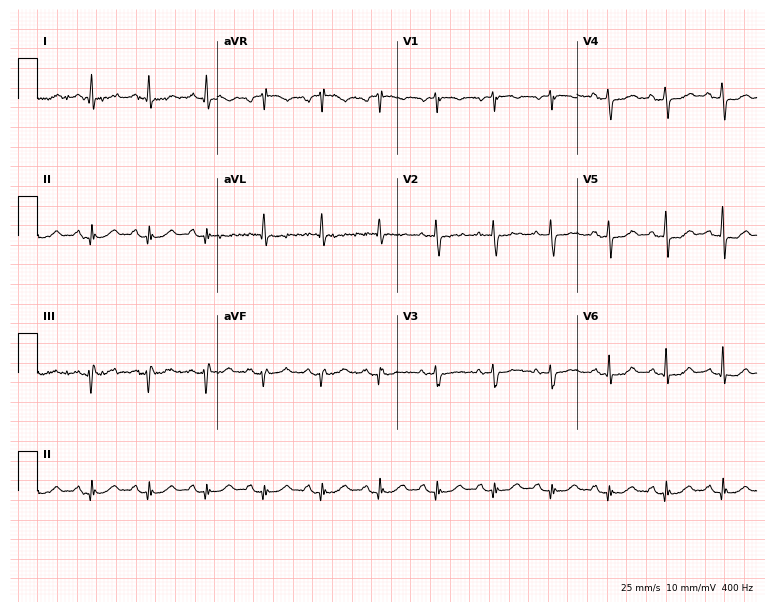
Standard 12-lead ECG recorded from a female, 72 years old. None of these six findings is recorded: first-degree AV block, right bundle branch block, left bundle branch block, sinus bradycardia, atrial fibrillation, sinus tachycardia.